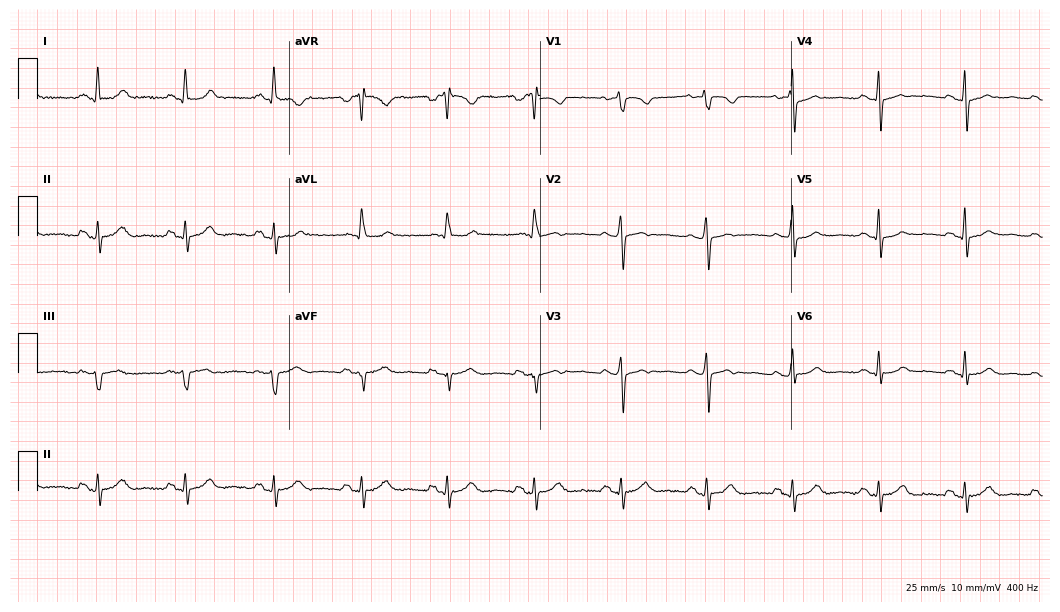
12-lead ECG (10.2-second recording at 400 Hz) from a 45-year-old female patient. Labelled as a normal ECG.